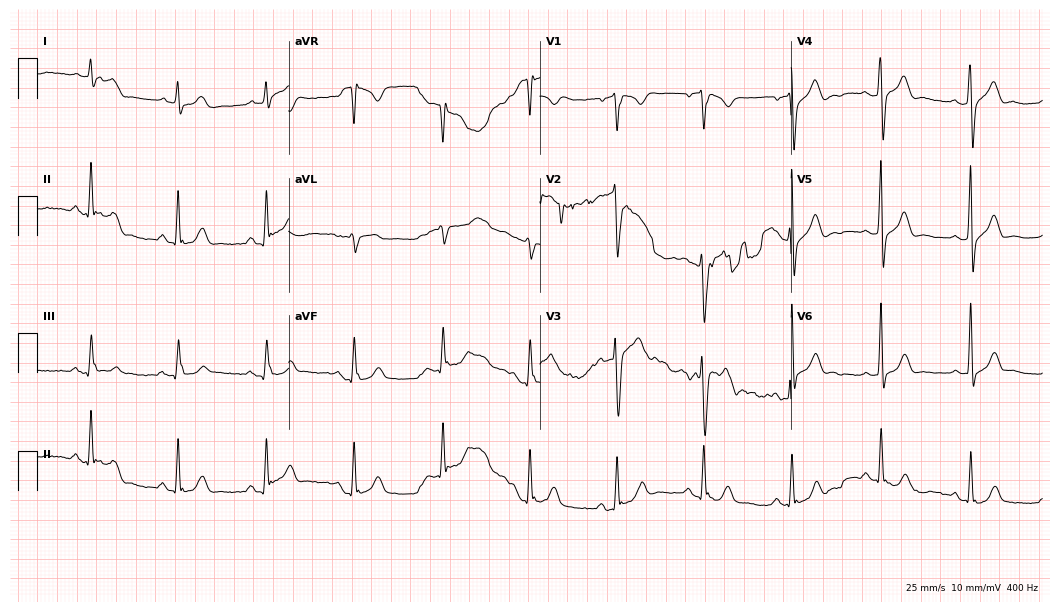
ECG (10.2-second recording at 400 Hz) — a 51-year-old male. Screened for six findings — first-degree AV block, right bundle branch block, left bundle branch block, sinus bradycardia, atrial fibrillation, sinus tachycardia — none is recorded. Other findings, if any, are not listed.